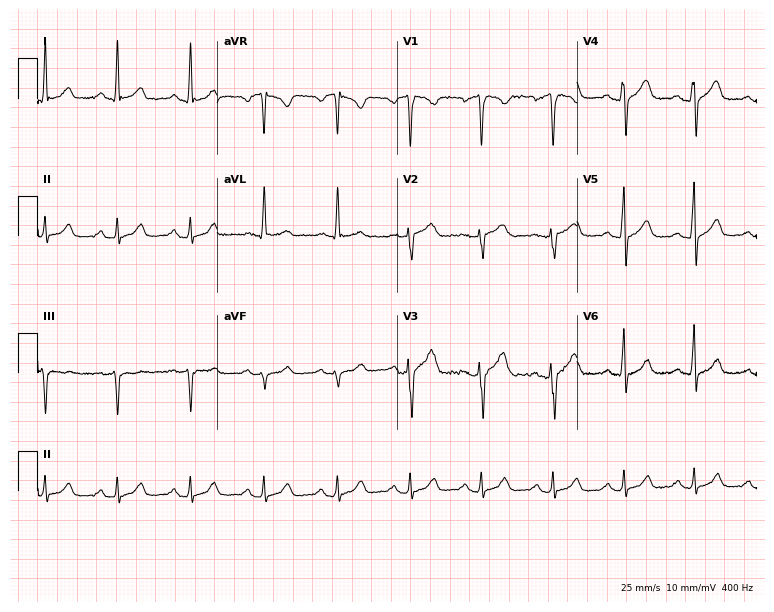
ECG — a male, 32 years old. Labelled as a normal ECG.